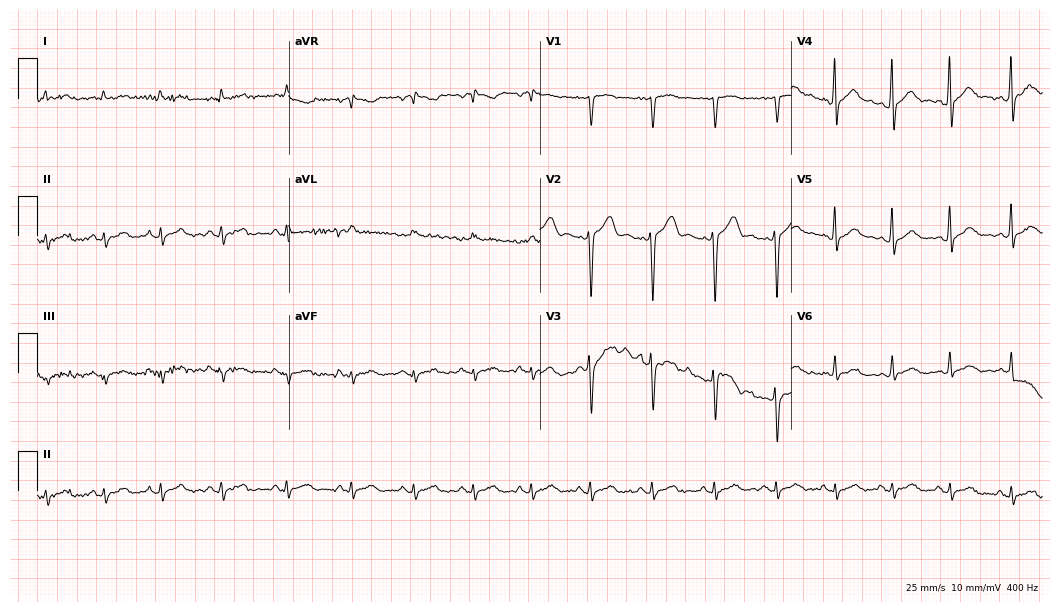
Resting 12-lead electrocardiogram (10.2-second recording at 400 Hz). Patient: a 21-year-old male. None of these six findings is recorded: first-degree AV block, right bundle branch block, left bundle branch block, sinus bradycardia, atrial fibrillation, sinus tachycardia. Only these six findings were labelled.